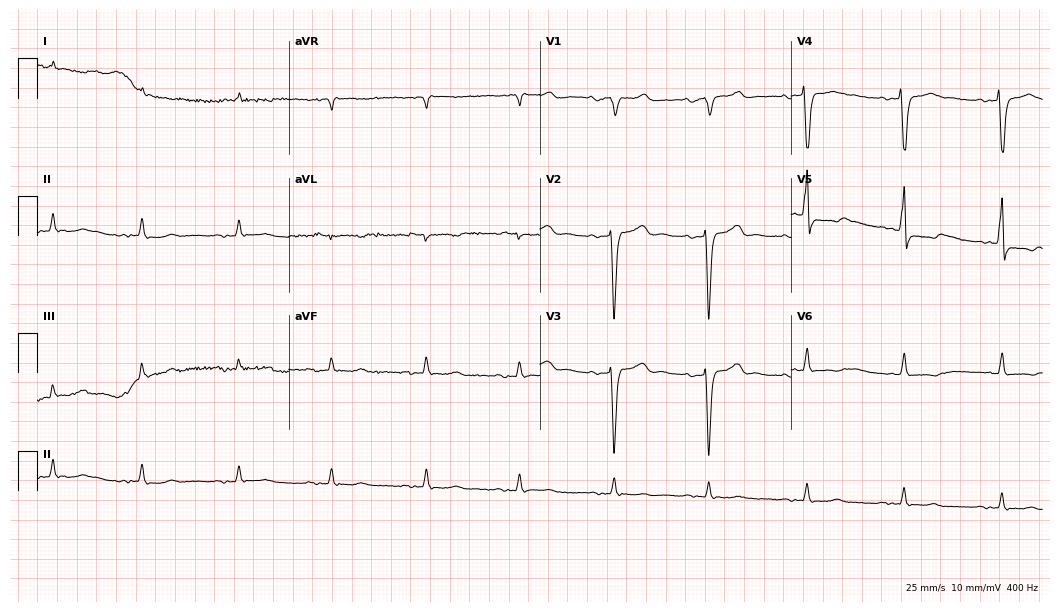
Standard 12-lead ECG recorded from an 80-year-old man. None of these six findings is recorded: first-degree AV block, right bundle branch block, left bundle branch block, sinus bradycardia, atrial fibrillation, sinus tachycardia. Findings outside these six are not listed.